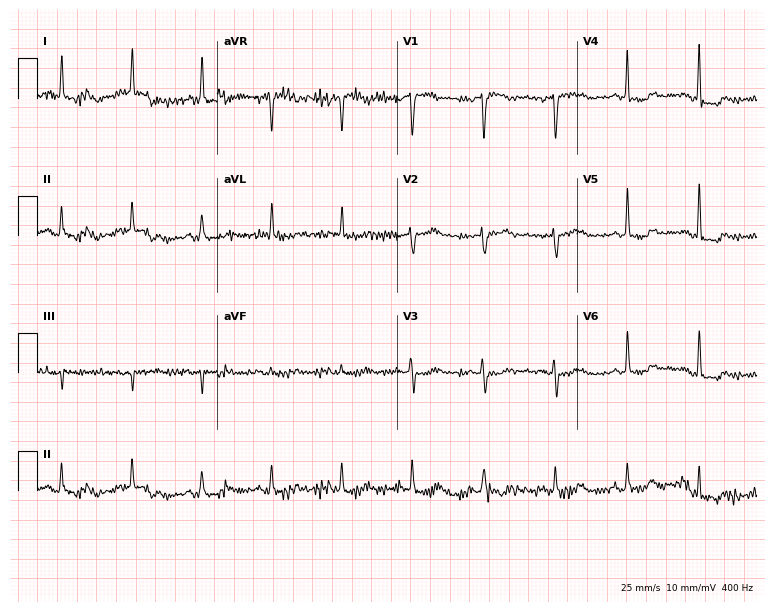
Standard 12-lead ECG recorded from a 78-year-old woman. None of these six findings is recorded: first-degree AV block, right bundle branch block, left bundle branch block, sinus bradycardia, atrial fibrillation, sinus tachycardia. Only these six findings were labelled.